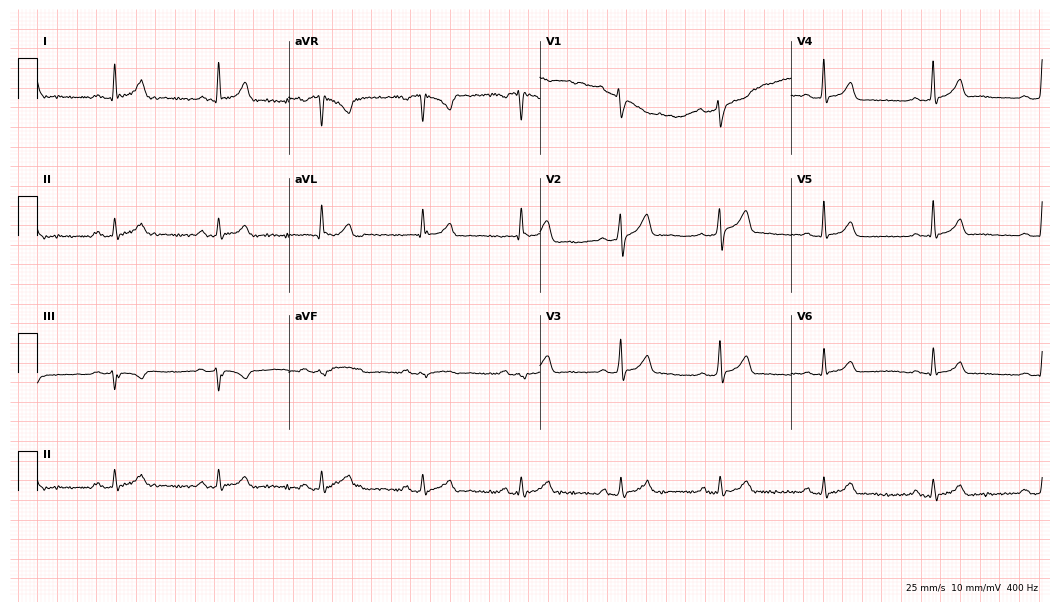
Standard 12-lead ECG recorded from a 47-year-old male patient. None of these six findings is recorded: first-degree AV block, right bundle branch block (RBBB), left bundle branch block (LBBB), sinus bradycardia, atrial fibrillation (AF), sinus tachycardia. Only these six findings were labelled.